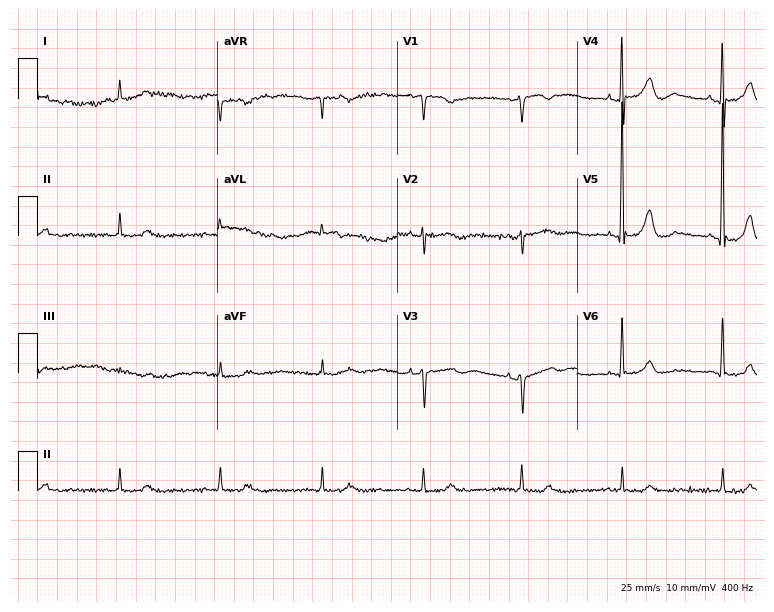
12-lead ECG from a woman, 83 years old (7.3-second recording at 400 Hz). No first-degree AV block, right bundle branch block (RBBB), left bundle branch block (LBBB), sinus bradycardia, atrial fibrillation (AF) or sinus tachycardia recorded for this tracing.